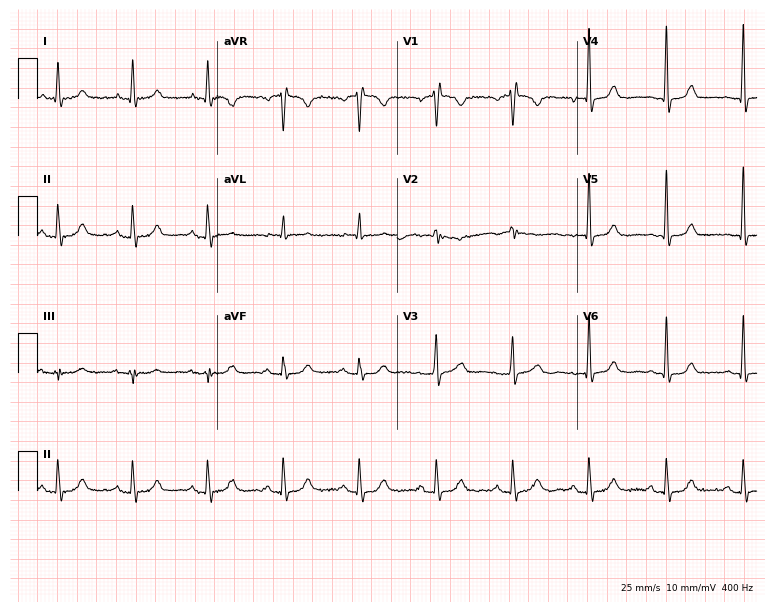
Resting 12-lead electrocardiogram. Patient: a 63-year-old female. None of these six findings is recorded: first-degree AV block, right bundle branch block, left bundle branch block, sinus bradycardia, atrial fibrillation, sinus tachycardia.